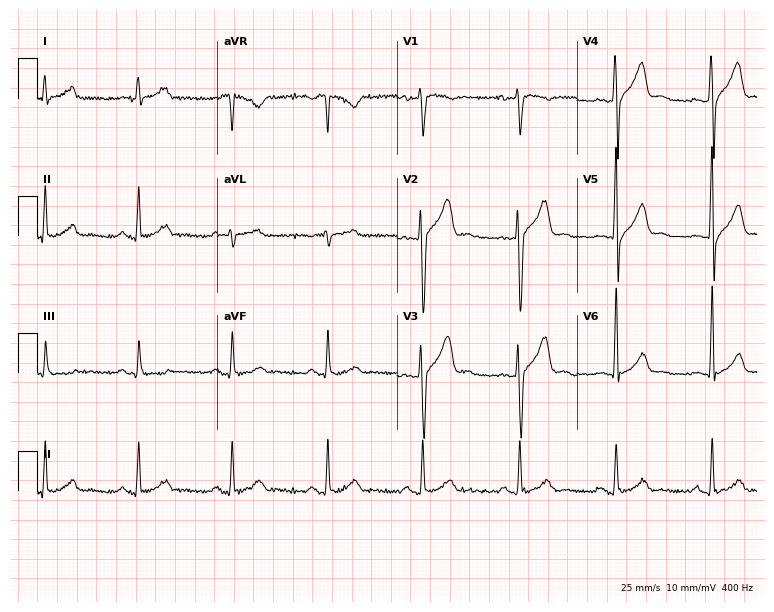
12-lead ECG from a man, 34 years old. Labelled as a normal ECG.